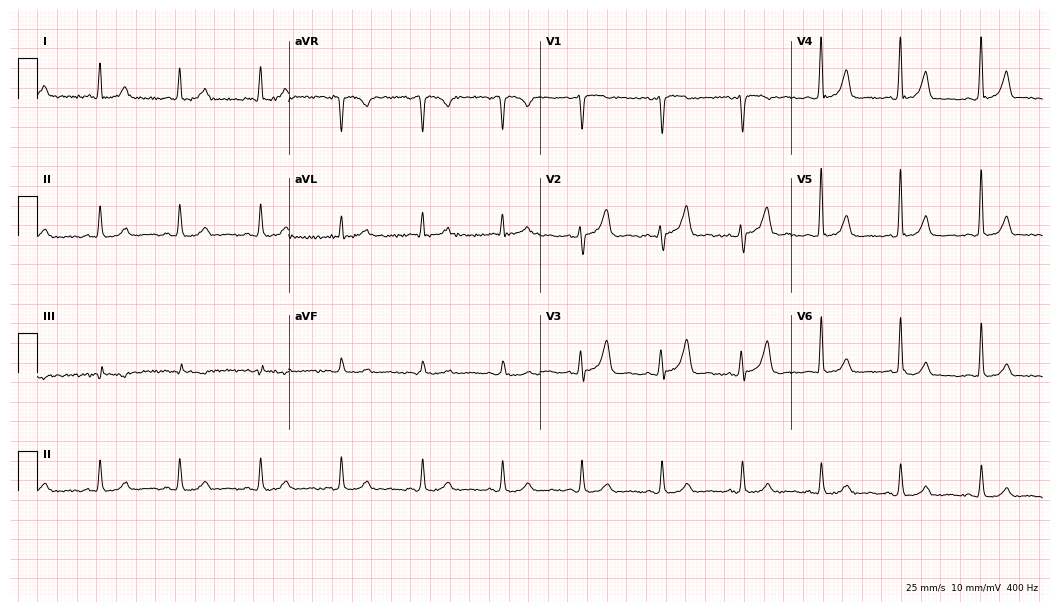
12-lead ECG from a man, 60 years old. Labelled as a normal ECG.